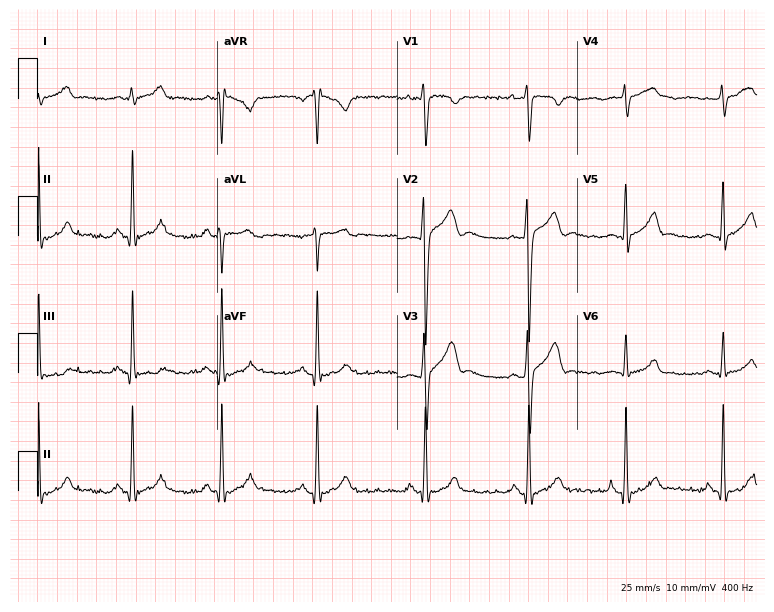
12-lead ECG from a 20-year-old male patient. Recorded interpretation: within normal limits.